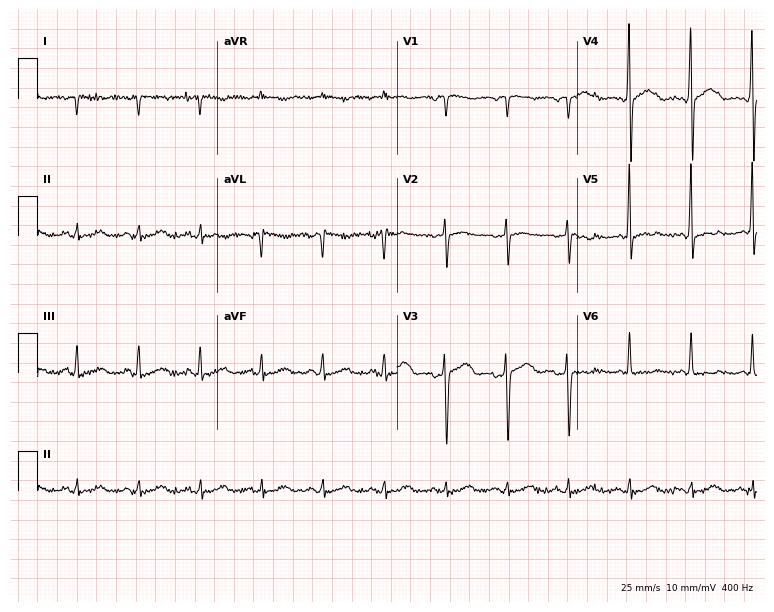
ECG — a 68-year-old female patient. Screened for six findings — first-degree AV block, right bundle branch block, left bundle branch block, sinus bradycardia, atrial fibrillation, sinus tachycardia — none is recorded.